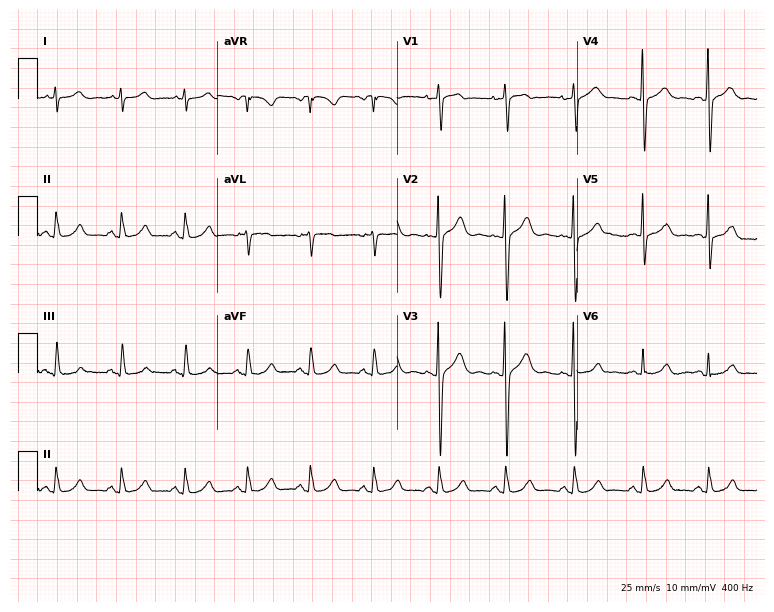
Standard 12-lead ECG recorded from a female, 21 years old. None of these six findings is recorded: first-degree AV block, right bundle branch block, left bundle branch block, sinus bradycardia, atrial fibrillation, sinus tachycardia.